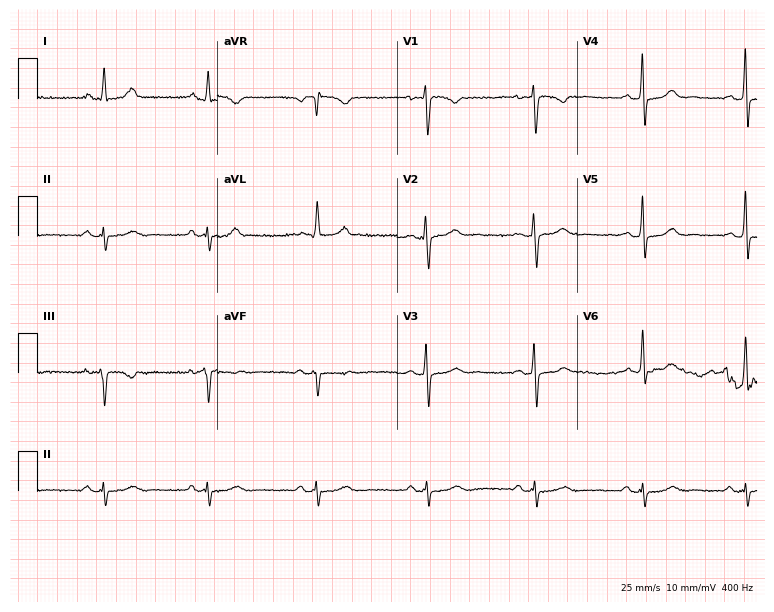
Resting 12-lead electrocardiogram. Patient: a 51-year-old female. Read as a normal ECG.